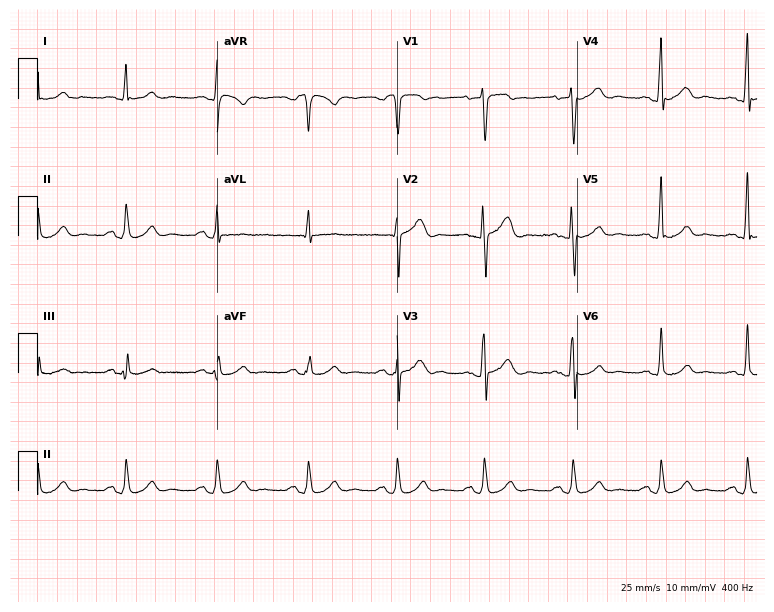
Electrocardiogram, a 61-year-old man. Overall reading on record: normal ECG.